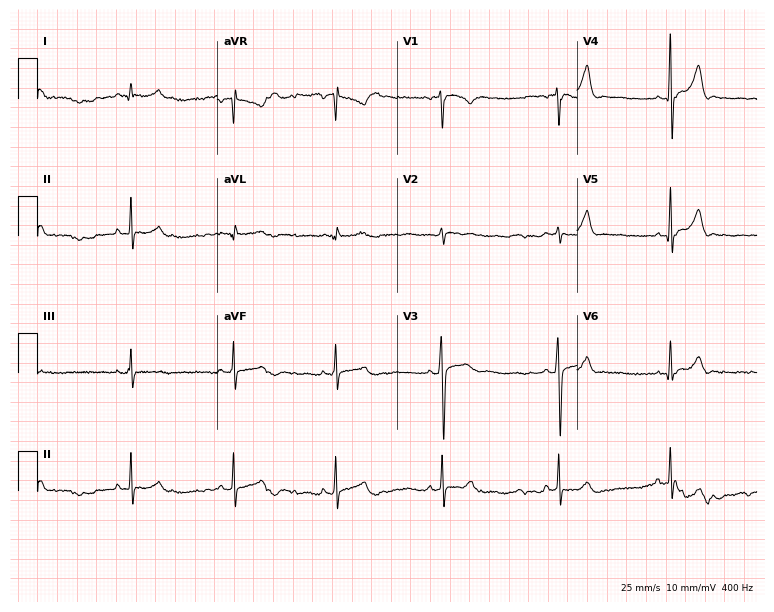
Resting 12-lead electrocardiogram (7.3-second recording at 400 Hz). Patient: a 17-year-old male. Read as a normal ECG.